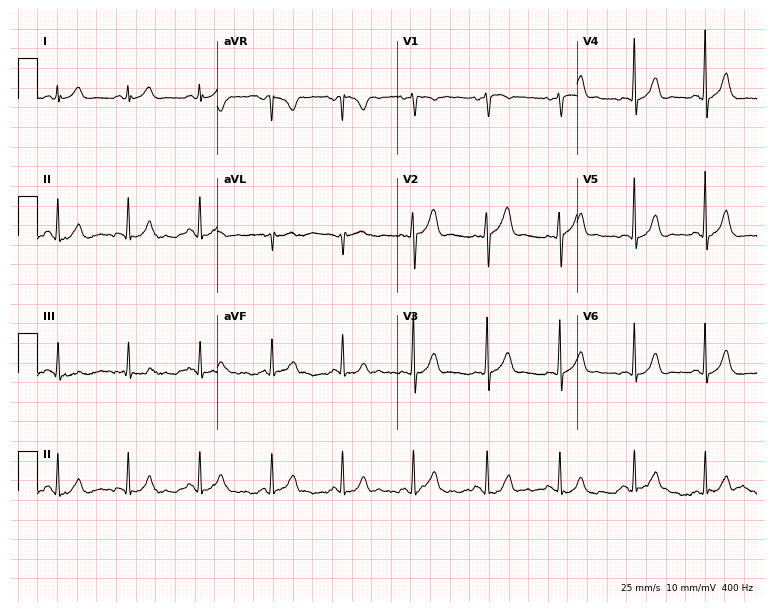
Resting 12-lead electrocardiogram (7.3-second recording at 400 Hz). Patient: a 32-year-old female. Read as a normal ECG.